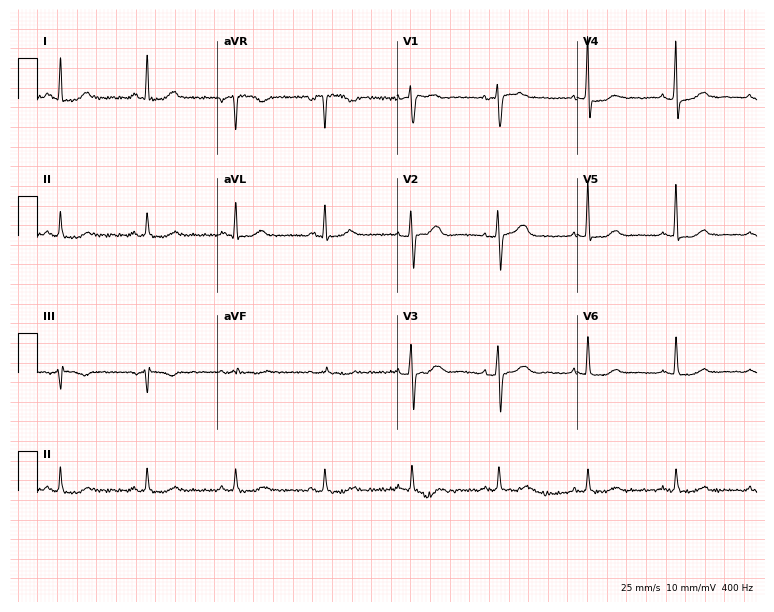
Electrocardiogram (7.3-second recording at 400 Hz), a 60-year-old female patient. Overall reading on record: normal ECG.